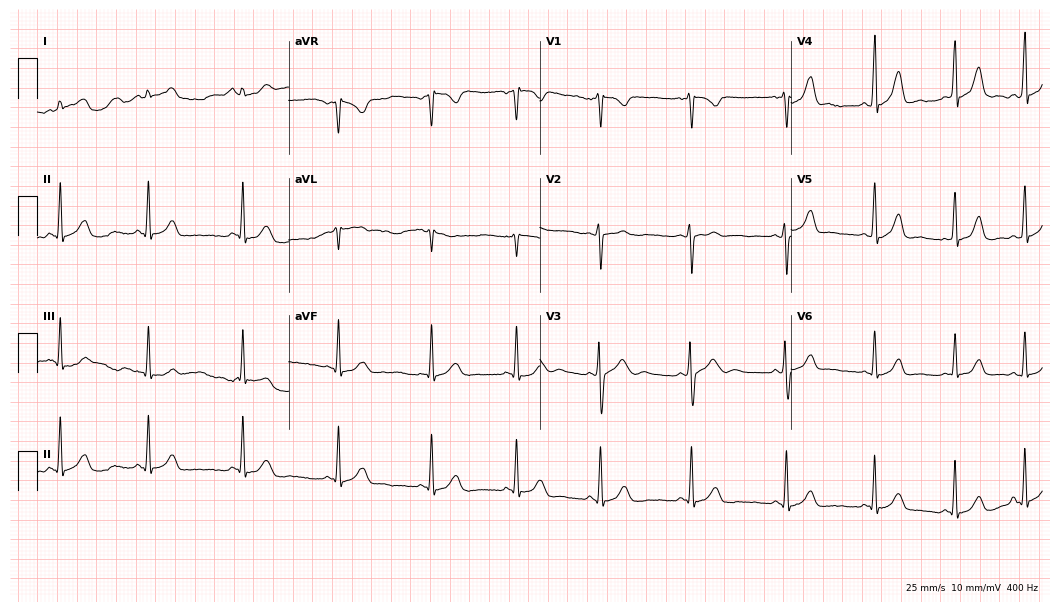
Resting 12-lead electrocardiogram (10.2-second recording at 400 Hz). Patient: a 21-year-old female. Read as a normal ECG.